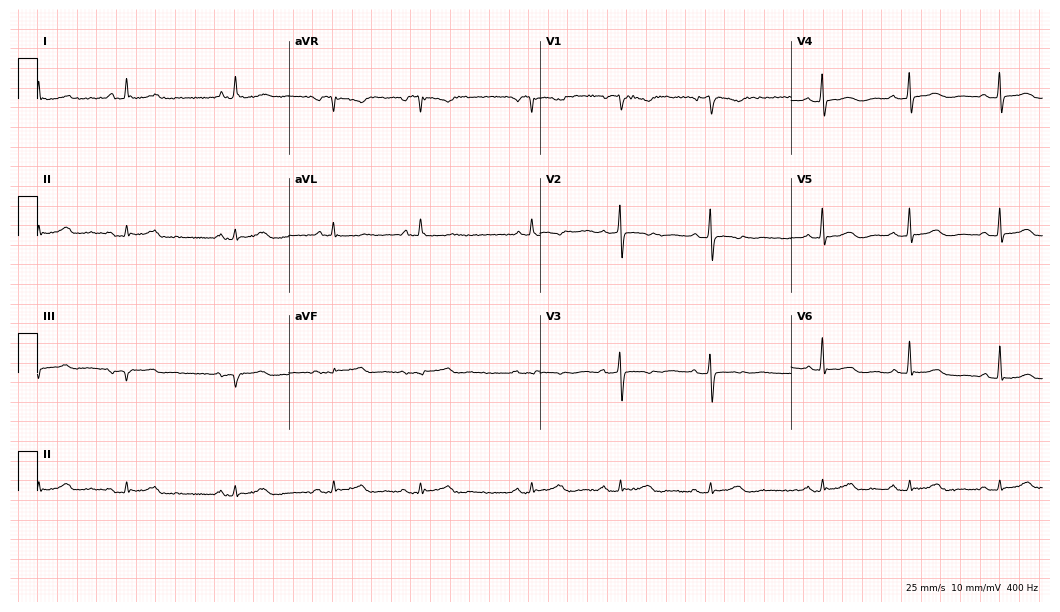
Standard 12-lead ECG recorded from a female patient, 84 years old (10.2-second recording at 400 Hz). None of these six findings is recorded: first-degree AV block, right bundle branch block, left bundle branch block, sinus bradycardia, atrial fibrillation, sinus tachycardia. Only these six findings were labelled.